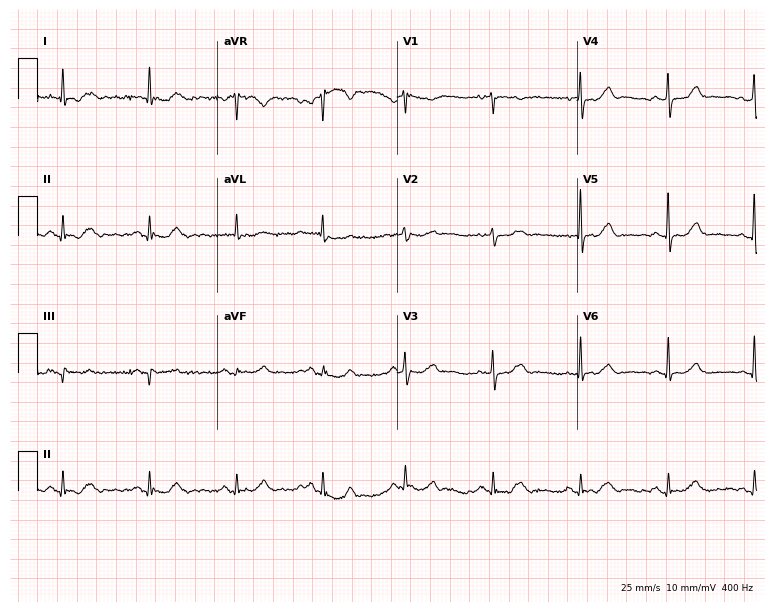
Resting 12-lead electrocardiogram. Patient: a 76-year-old female. Read as a normal ECG.